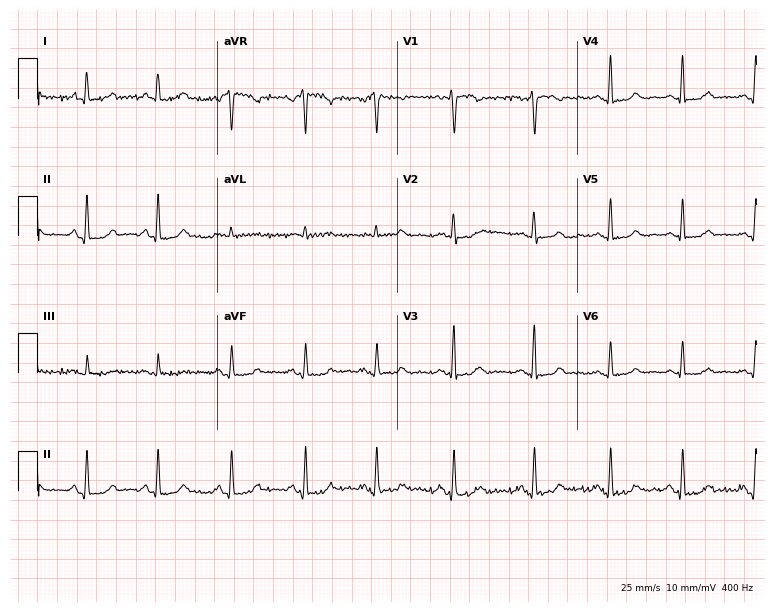
ECG — a 40-year-old female. Screened for six findings — first-degree AV block, right bundle branch block (RBBB), left bundle branch block (LBBB), sinus bradycardia, atrial fibrillation (AF), sinus tachycardia — none is recorded.